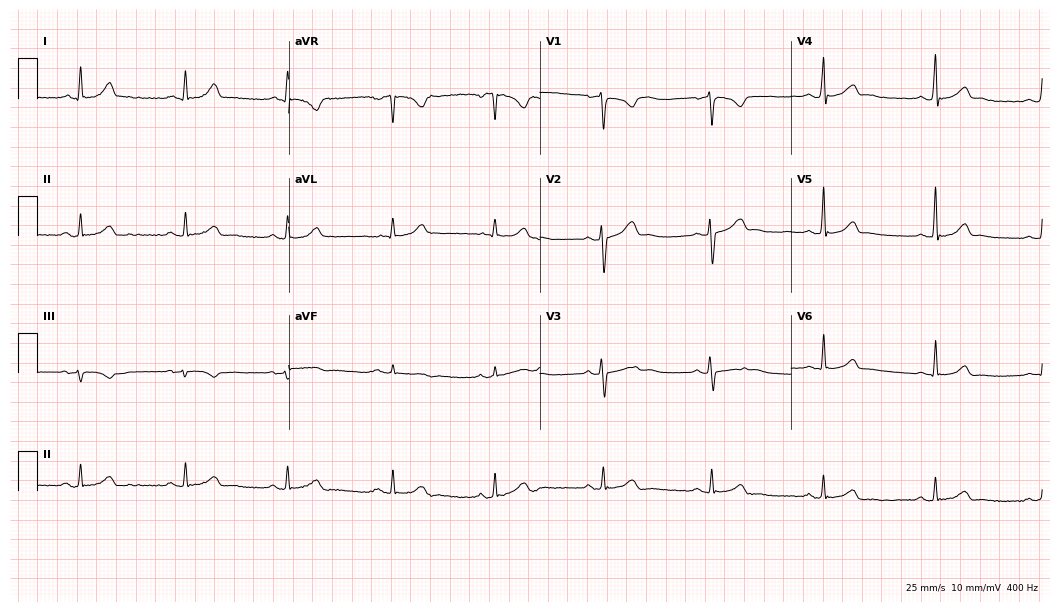
12-lead ECG from a 31-year-old male patient. Labelled as a normal ECG.